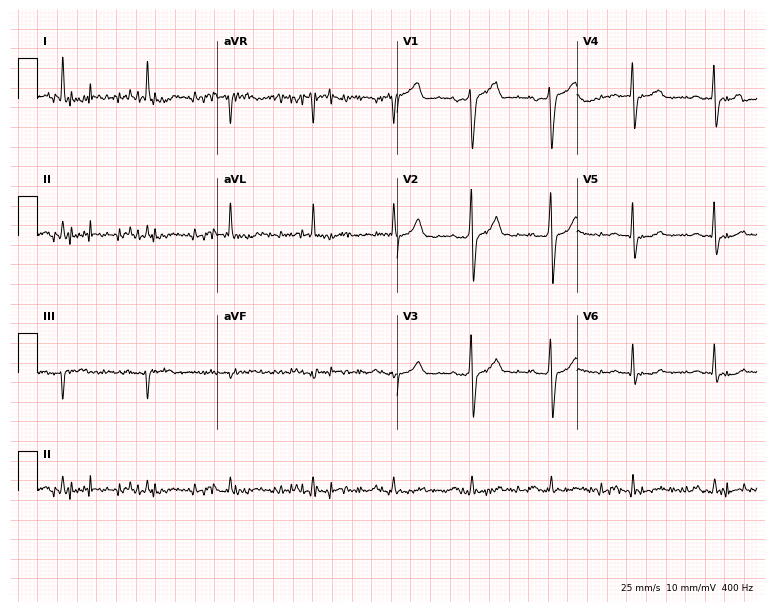
Resting 12-lead electrocardiogram. Patient: an 82-year-old man. None of these six findings is recorded: first-degree AV block, right bundle branch block (RBBB), left bundle branch block (LBBB), sinus bradycardia, atrial fibrillation (AF), sinus tachycardia.